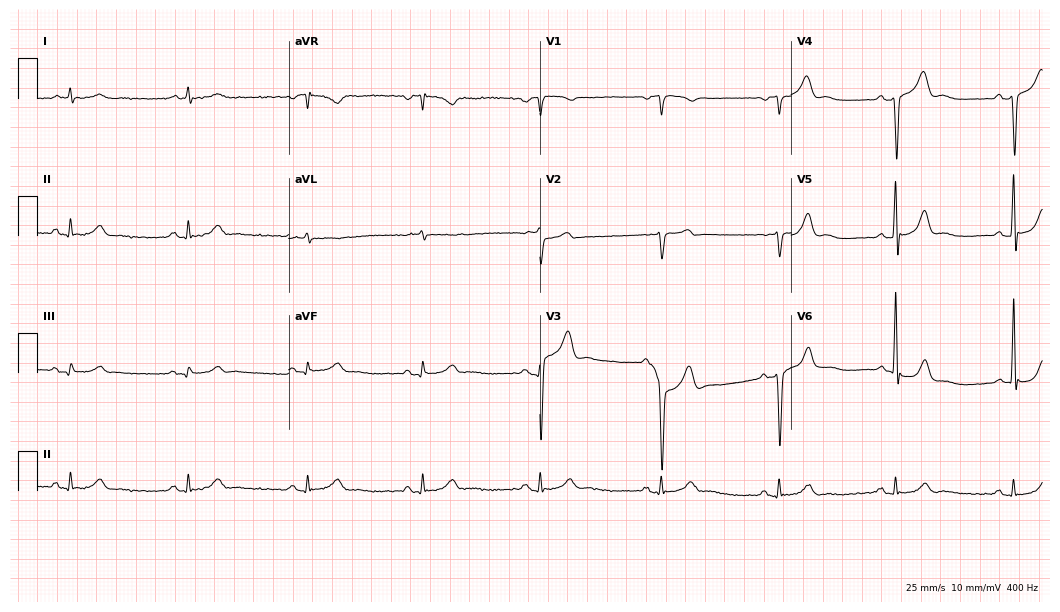
ECG (10.2-second recording at 400 Hz) — a 60-year-old male. Labelled as a normal ECG.